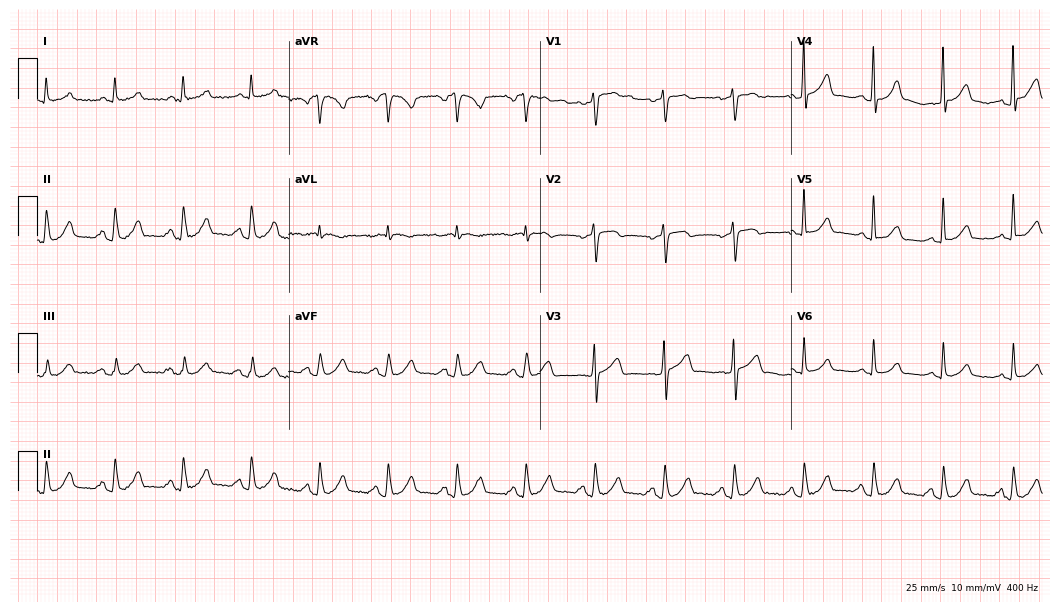
Resting 12-lead electrocardiogram (10.2-second recording at 400 Hz). Patient: a male, 66 years old. Read as a normal ECG.